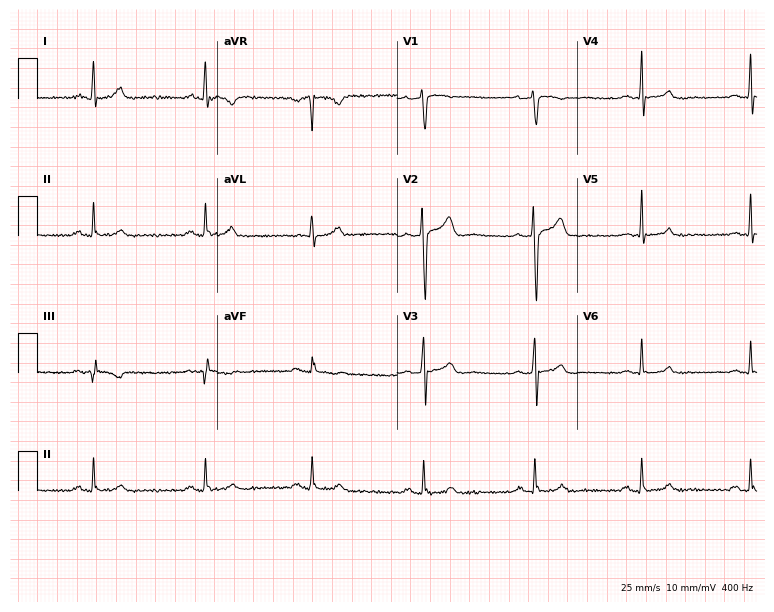
Standard 12-lead ECG recorded from a 50-year-old man (7.3-second recording at 400 Hz). Read as a normal ECG.